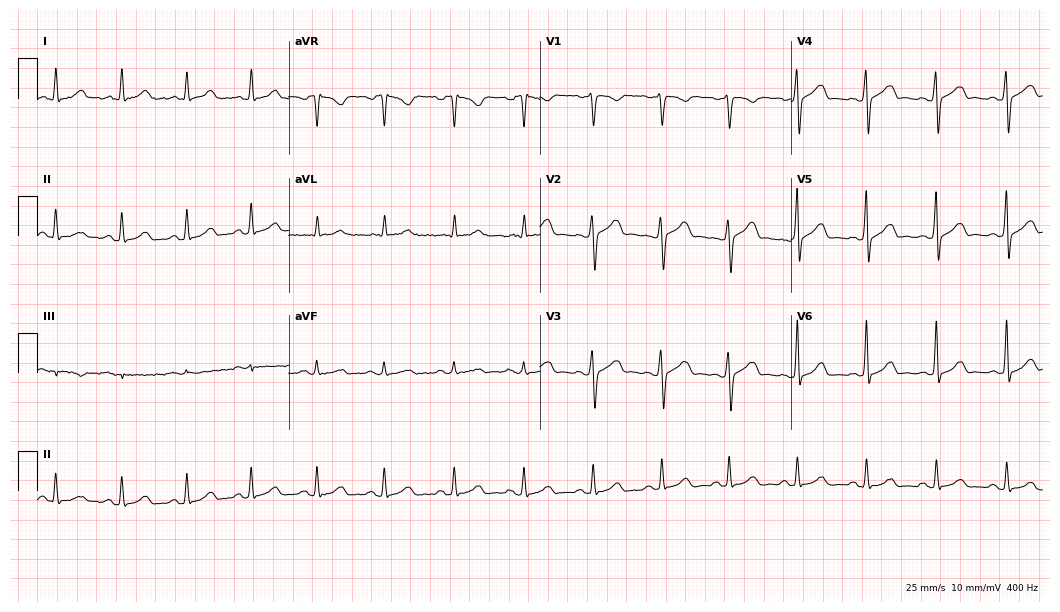
12-lead ECG (10.2-second recording at 400 Hz) from a 49-year-old male patient. Labelled as a normal ECG.